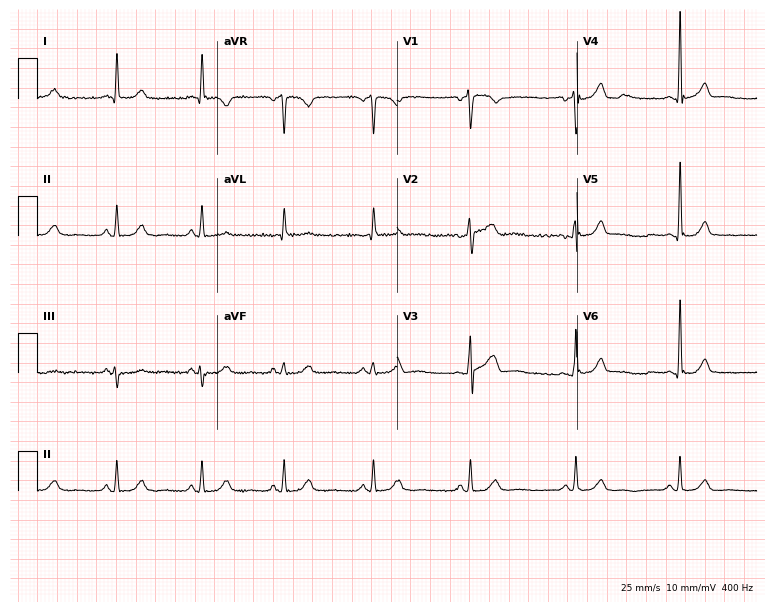
Resting 12-lead electrocardiogram (7.3-second recording at 400 Hz). Patient: a male, 59 years old. Read as a normal ECG.